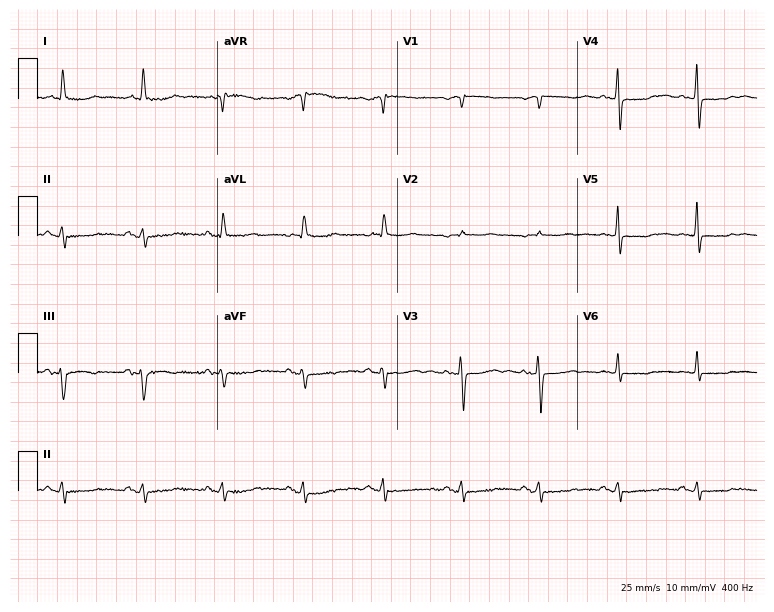
12-lead ECG from a woman, 79 years old. Recorded interpretation: within normal limits.